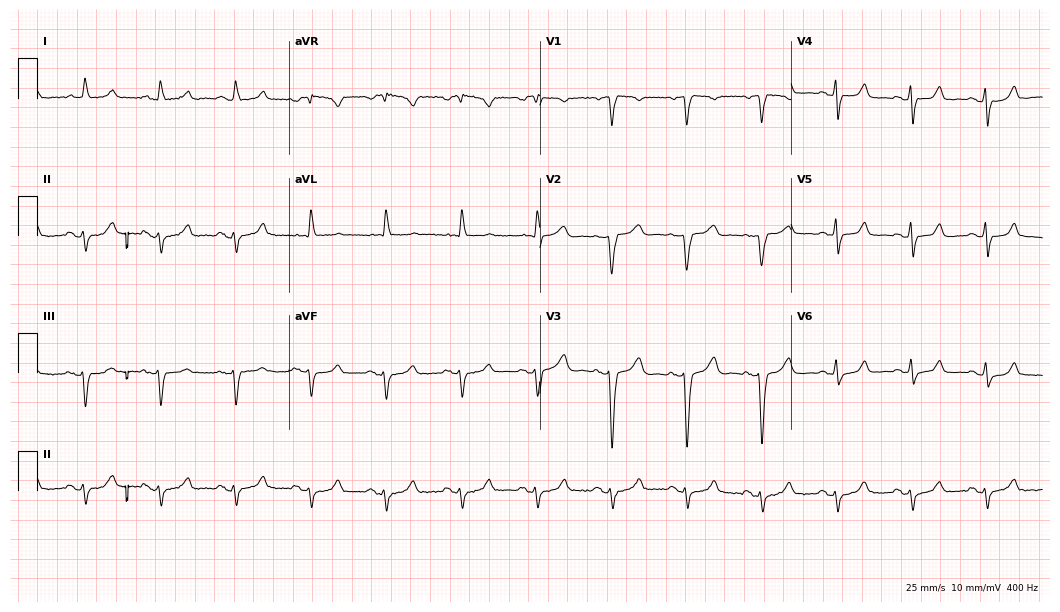
ECG (10.2-second recording at 400 Hz) — an 80-year-old woman. Screened for six findings — first-degree AV block, right bundle branch block (RBBB), left bundle branch block (LBBB), sinus bradycardia, atrial fibrillation (AF), sinus tachycardia — none is recorded.